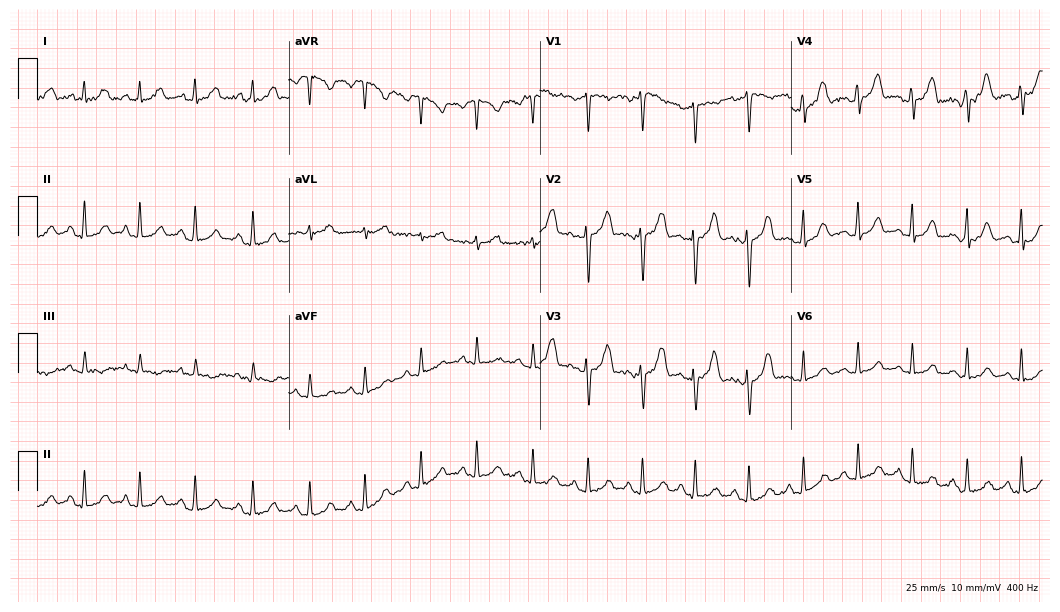
ECG (10.2-second recording at 400 Hz) — a female patient, 28 years old. Findings include sinus tachycardia (a sinus rate of 100 beats per minute or more).